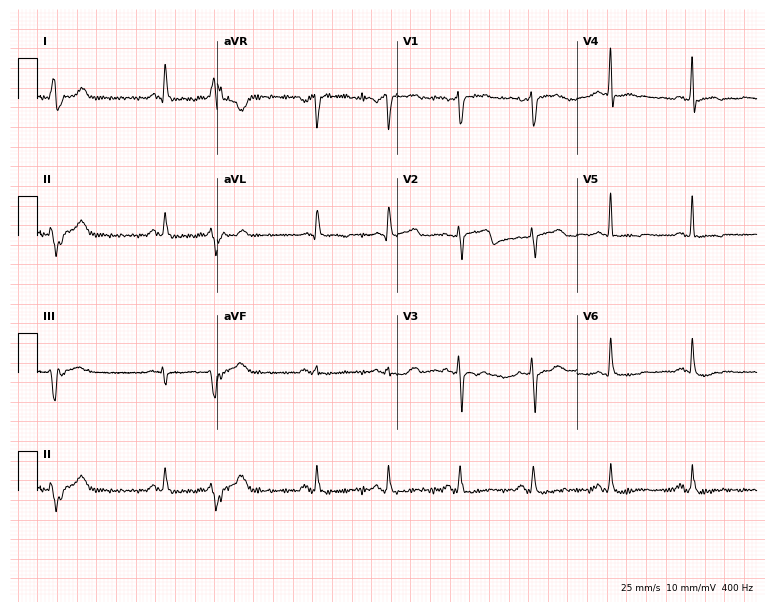
Electrocardiogram (7.3-second recording at 400 Hz), a woman, 55 years old. Of the six screened findings (first-degree AV block, right bundle branch block (RBBB), left bundle branch block (LBBB), sinus bradycardia, atrial fibrillation (AF), sinus tachycardia), none is recorded.